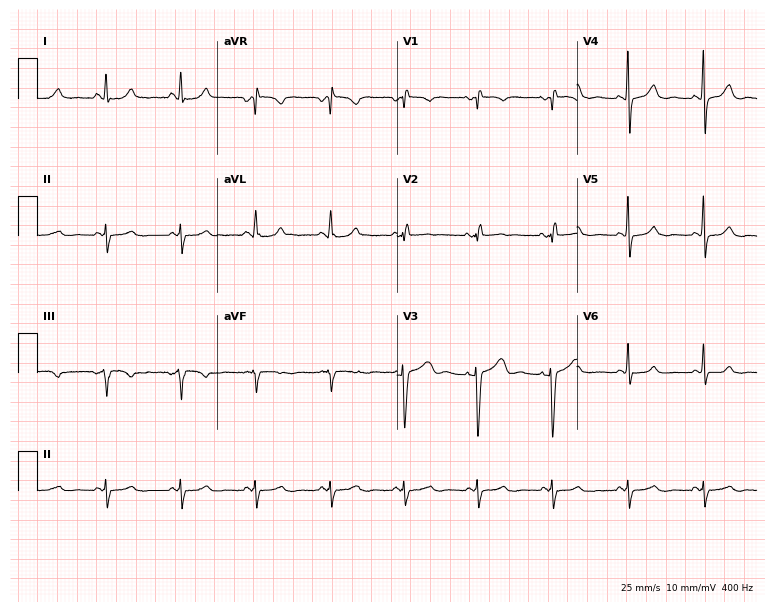
Electrocardiogram (7.3-second recording at 400 Hz), a female, 36 years old. Of the six screened findings (first-degree AV block, right bundle branch block, left bundle branch block, sinus bradycardia, atrial fibrillation, sinus tachycardia), none is recorded. Only these six findings were labelled.